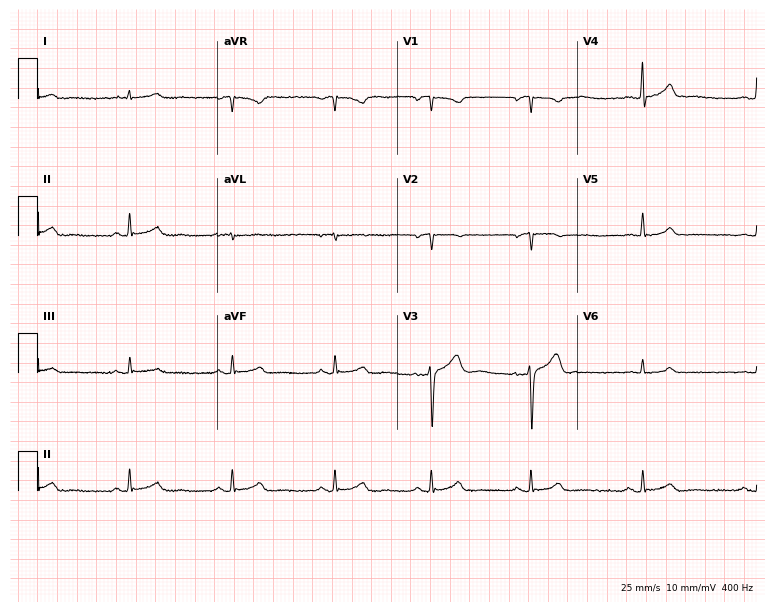
Standard 12-lead ECG recorded from a 36-year-old man (7.3-second recording at 400 Hz). None of these six findings is recorded: first-degree AV block, right bundle branch block, left bundle branch block, sinus bradycardia, atrial fibrillation, sinus tachycardia. Only these six findings were labelled.